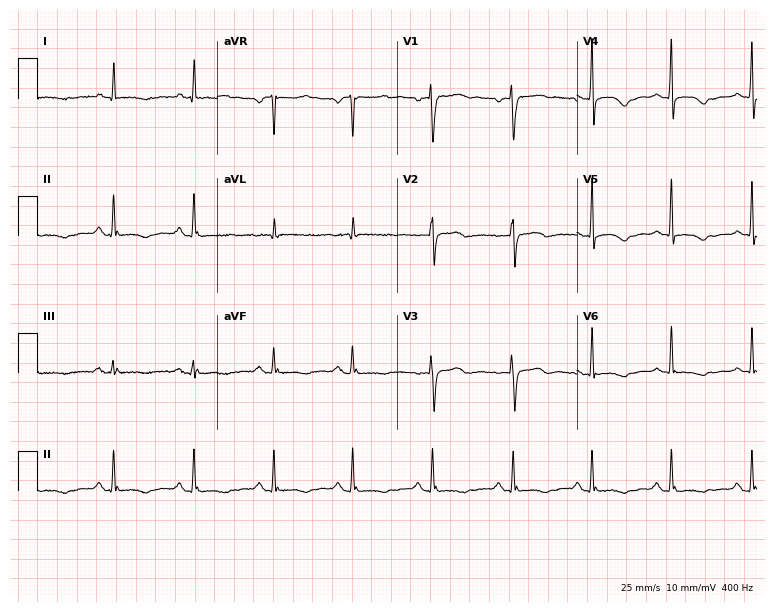
Standard 12-lead ECG recorded from a 23-year-old female. None of these six findings is recorded: first-degree AV block, right bundle branch block (RBBB), left bundle branch block (LBBB), sinus bradycardia, atrial fibrillation (AF), sinus tachycardia. Other findings, if any, are not listed.